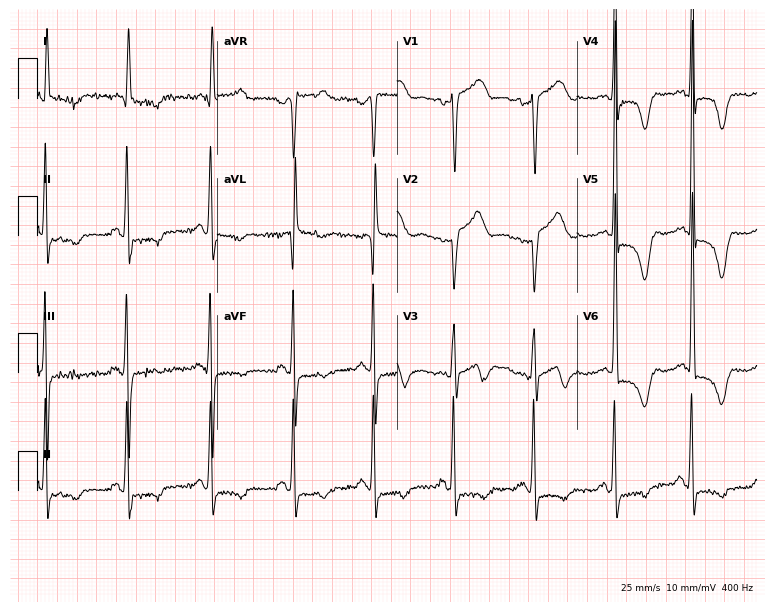
Standard 12-lead ECG recorded from a female, 86 years old (7.3-second recording at 400 Hz). None of these six findings is recorded: first-degree AV block, right bundle branch block, left bundle branch block, sinus bradycardia, atrial fibrillation, sinus tachycardia. Other findings, if any, are not listed.